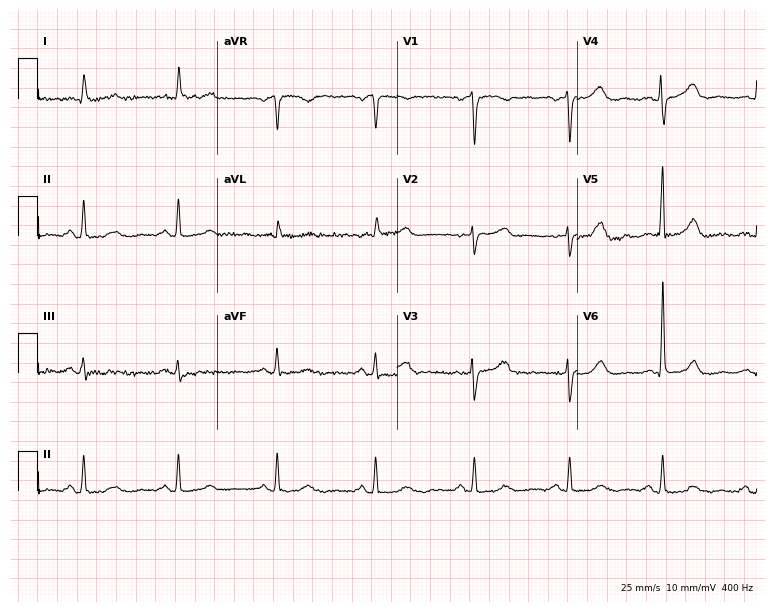
12-lead ECG from a 71-year-old female (7.3-second recording at 400 Hz). Recorded interpretation: within normal limits.